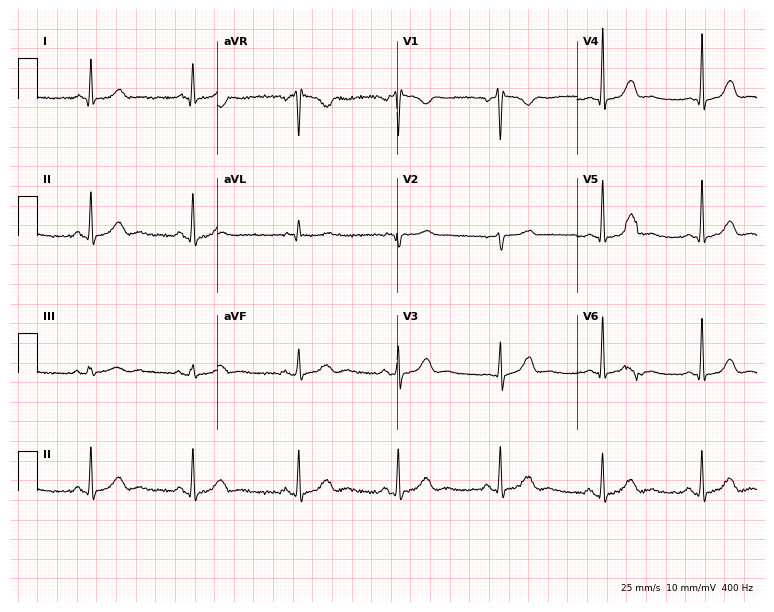
12-lead ECG from a 42-year-old female. Screened for six findings — first-degree AV block, right bundle branch block, left bundle branch block, sinus bradycardia, atrial fibrillation, sinus tachycardia — none is recorded.